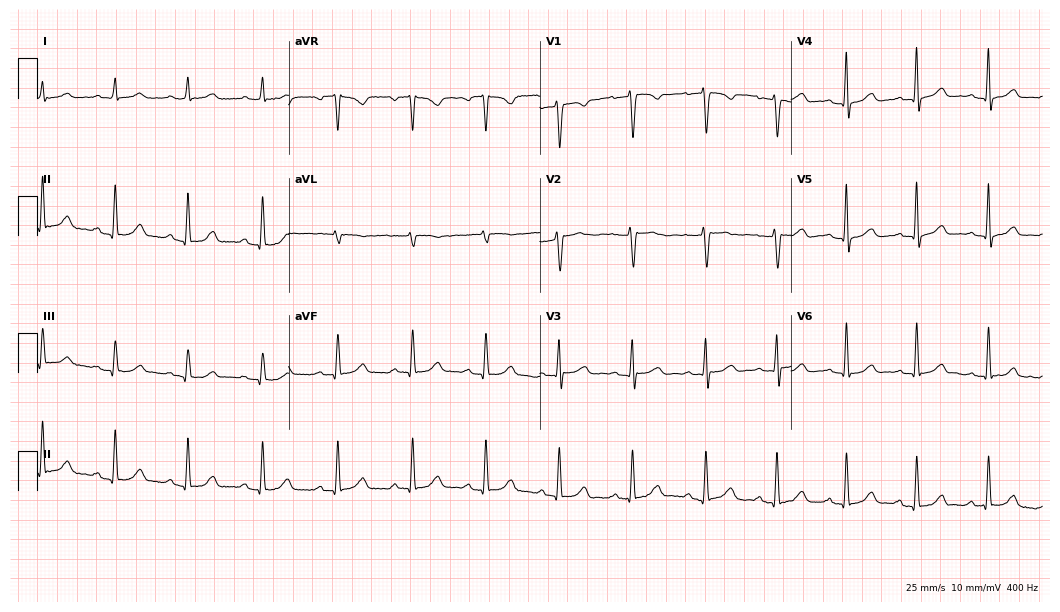
Electrocardiogram, a 49-year-old female patient. Overall reading on record: normal ECG.